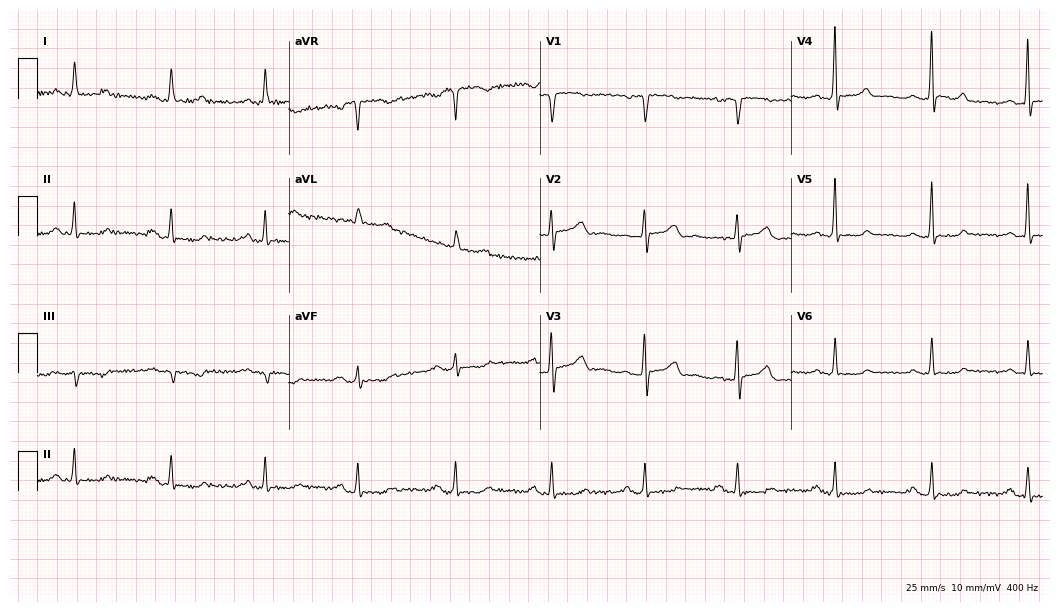
Standard 12-lead ECG recorded from a woman, 55 years old (10.2-second recording at 400 Hz). Read as a normal ECG.